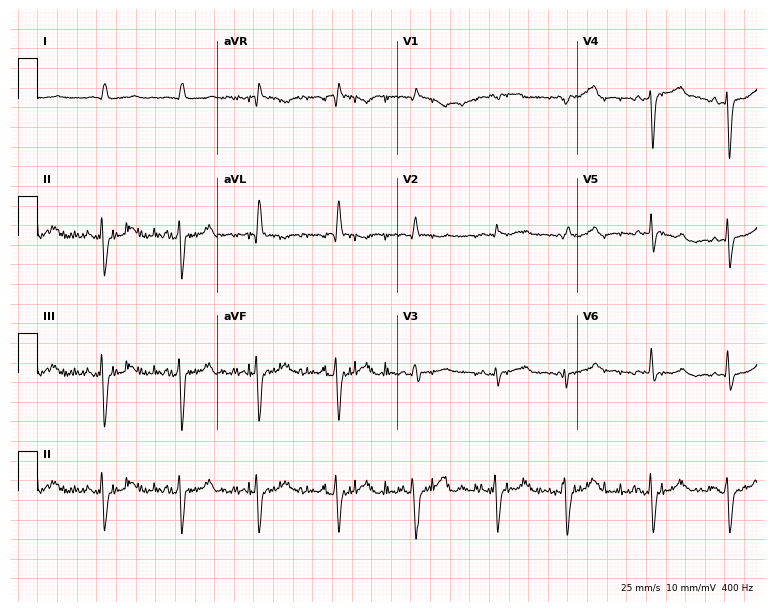
Standard 12-lead ECG recorded from a male patient, 68 years old. None of these six findings is recorded: first-degree AV block, right bundle branch block, left bundle branch block, sinus bradycardia, atrial fibrillation, sinus tachycardia. Other findings, if any, are not listed.